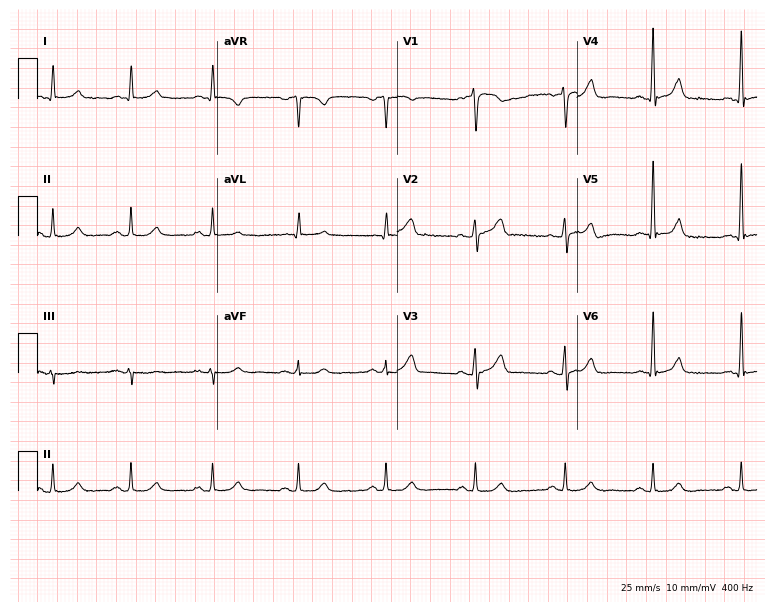
ECG (7.3-second recording at 400 Hz) — a 60-year-old man. Labelled as a normal ECG.